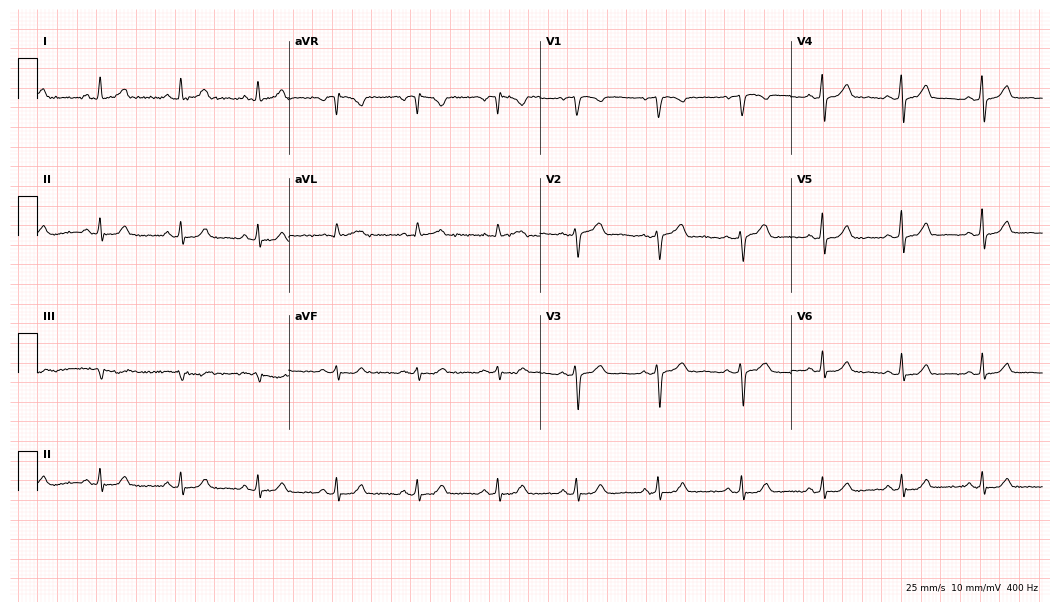
12-lead ECG from a female, 40 years old. Labelled as a normal ECG.